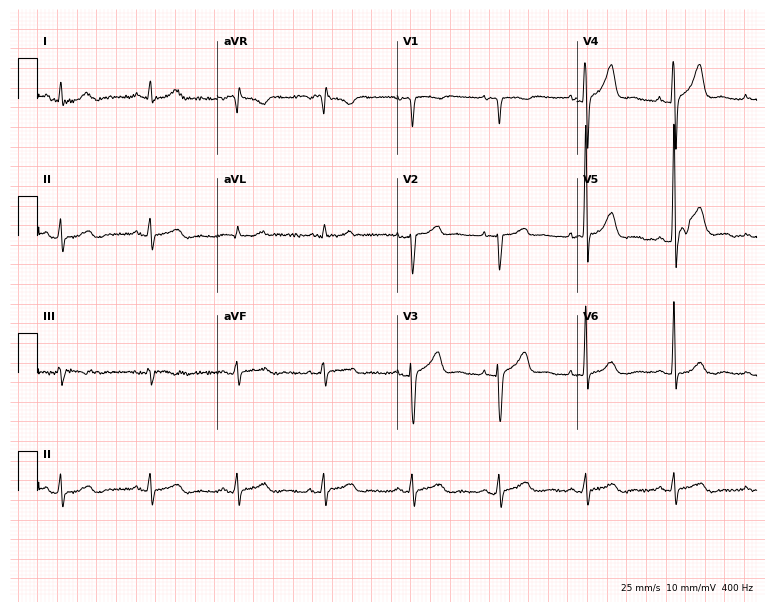
12-lead ECG from a 78-year-old male patient (7.3-second recording at 400 Hz). No first-degree AV block, right bundle branch block, left bundle branch block, sinus bradycardia, atrial fibrillation or sinus tachycardia recorded for this tracing.